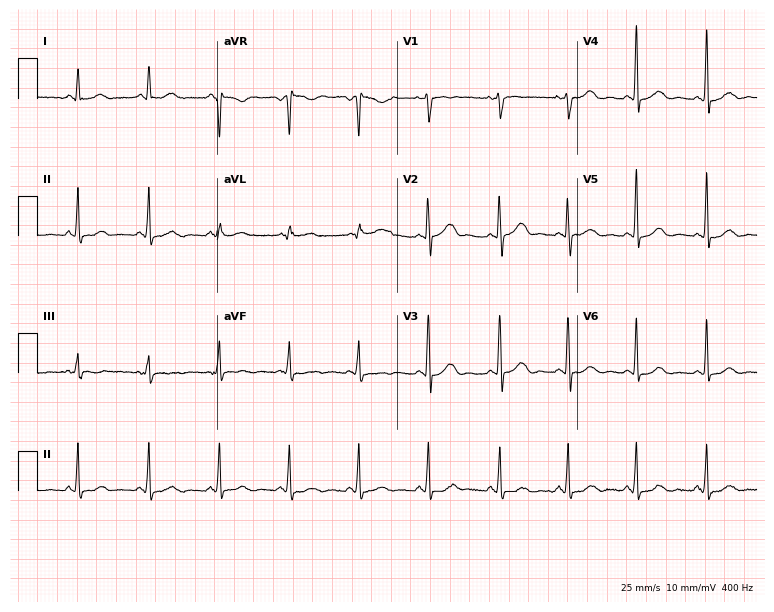
Resting 12-lead electrocardiogram. Patient: a female, 64 years old. Read as a normal ECG.